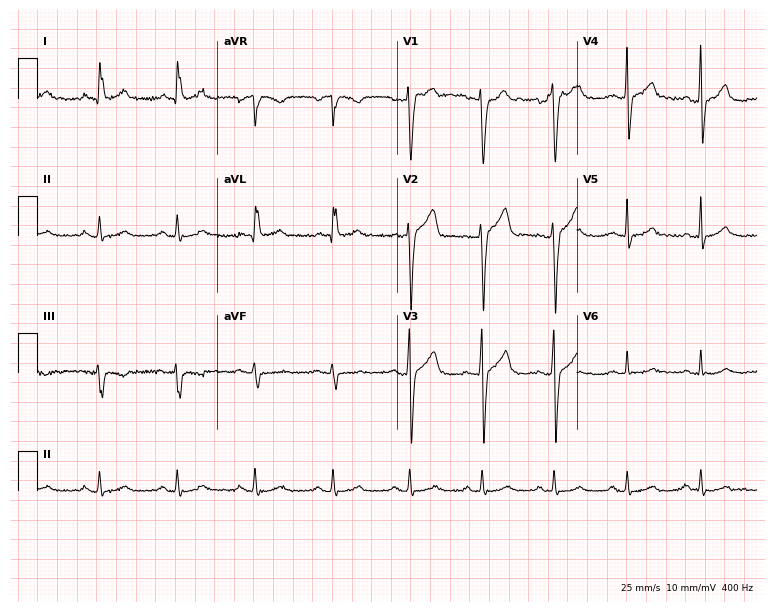
12-lead ECG from a male patient, 42 years old (7.3-second recording at 400 Hz). Recorded interpretation: within normal limits.